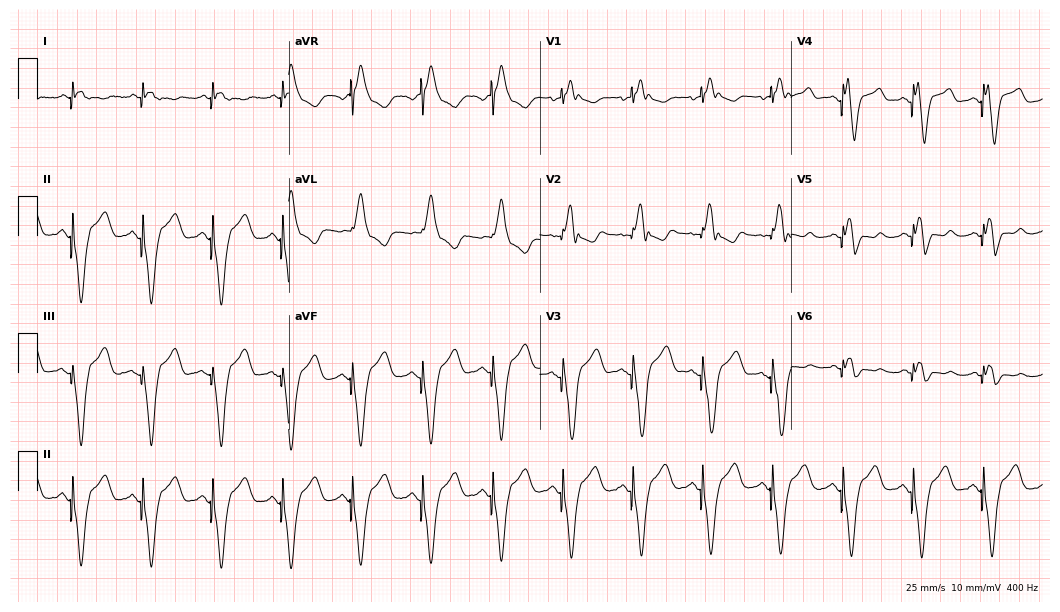
Resting 12-lead electrocardiogram (10.2-second recording at 400 Hz). Patient: a 59-year-old male. None of these six findings is recorded: first-degree AV block, right bundle branch block, left bundle branch block, sinus bradycardia, atrial fibrillation, sinus tachycardia.